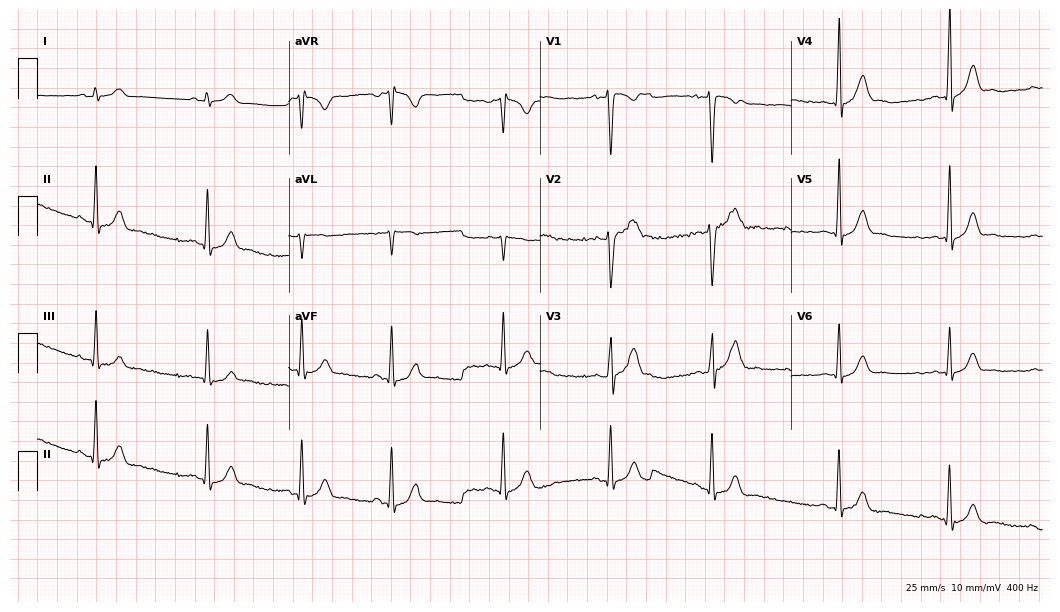
ECG — a 21-year-old male patient. Labelled as a normal ECG.